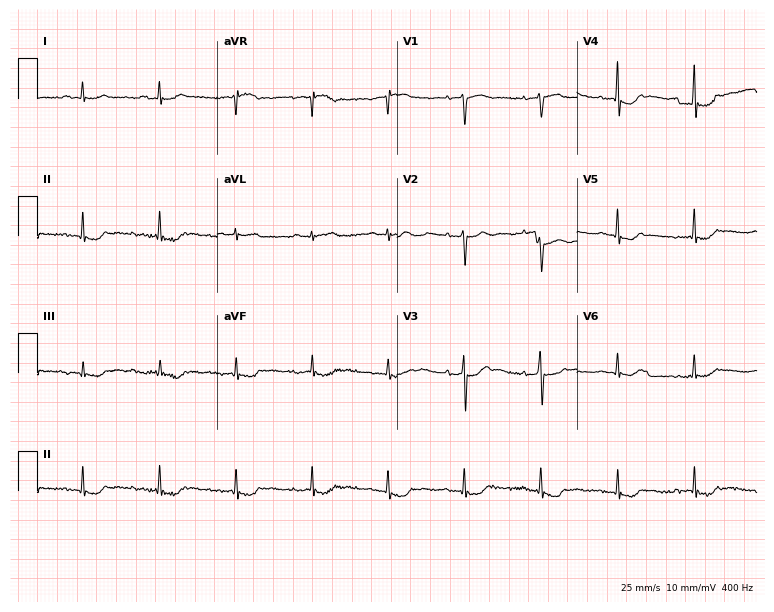
Resting 12-lead electrocardiogram (7.3-second recording at 400 Hz). Patient: a female, 63 years old. None of these six findings is recorded: first-degree AV block, right bundle branch block (RBBB), left bundle branch block (LBBB), sinus bradycardia, atrial fibrillation (AF), sinus tachycardia.